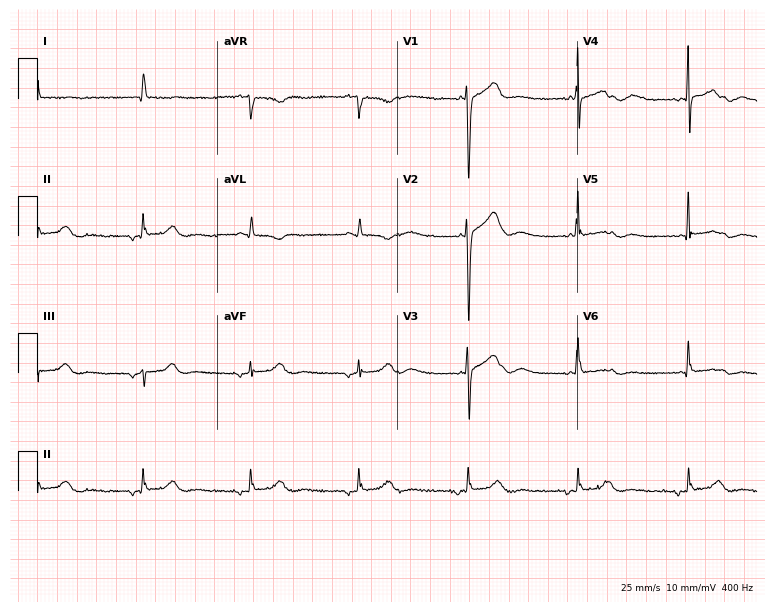
Resting 12-lead electrocardiogram. Patient: a female, 73 years old. None of these six findings is recorded: first-degree AV block, right bundle branch block (RBBB), left bundle branch block (LBBB), sinus bradycardia, atrial fibrillation (AF), sinus tachycardia. Findings outside these six are not listed.